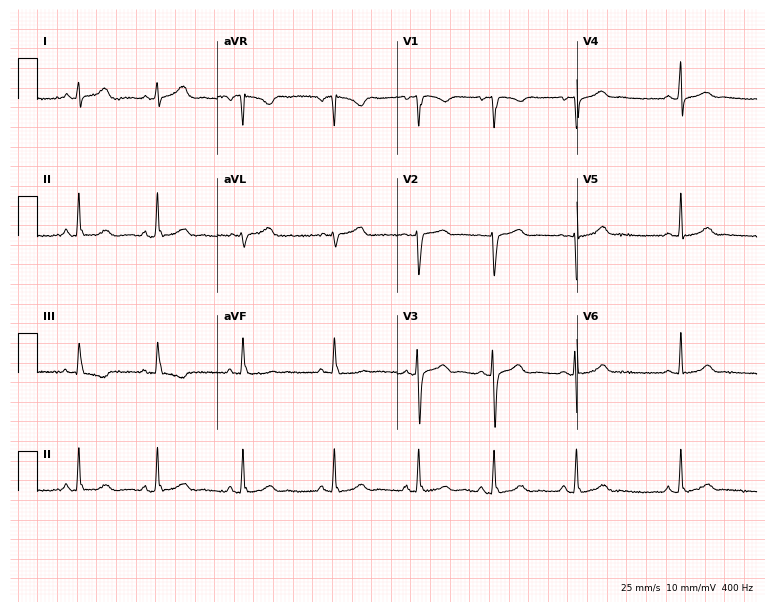
ECG — a 17-year-old woman. Labelled as a normal ECG.